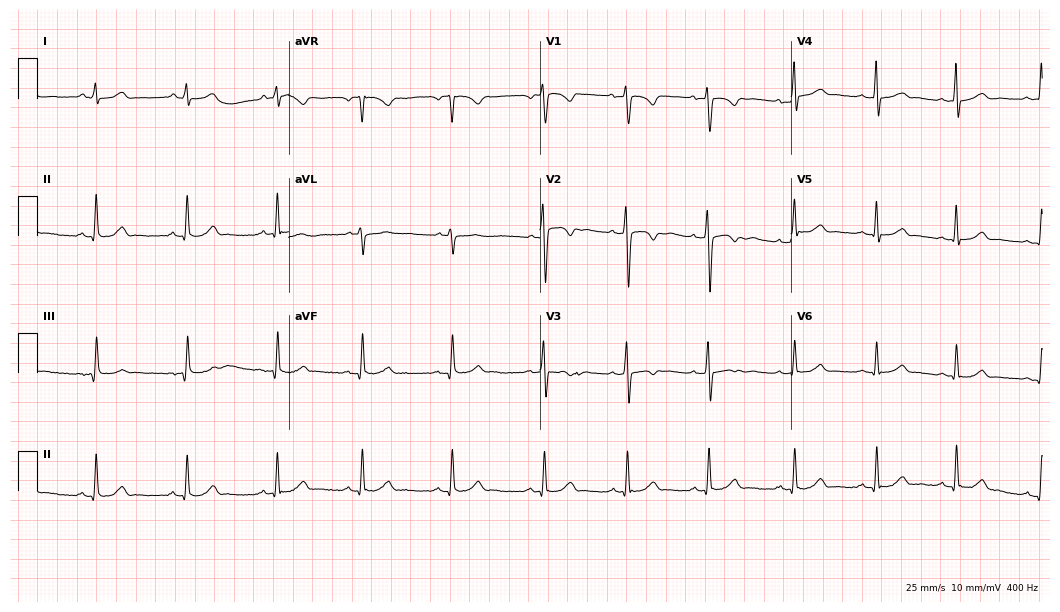
Electrocardiogram, a woman, 22 years old. Overall reading on record: normal ECG.